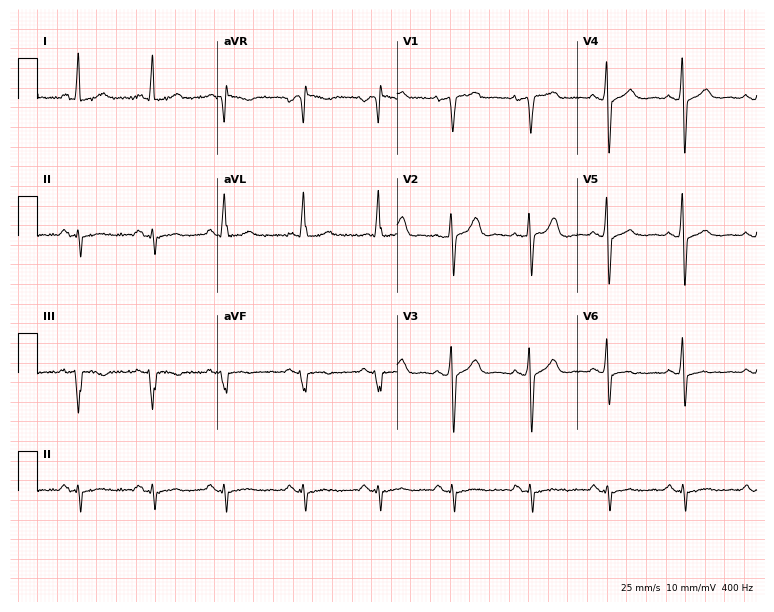
12-lead ECG from a 47-year-old male (7.3-second recording at 400 Hz). No first-degree AV block, right bundle branch block (RBBB), left bundle branch block (LBBB), sinus bradycardia, atrial fibrillation (AF) or sinus tachycardia recorded for this tracing.